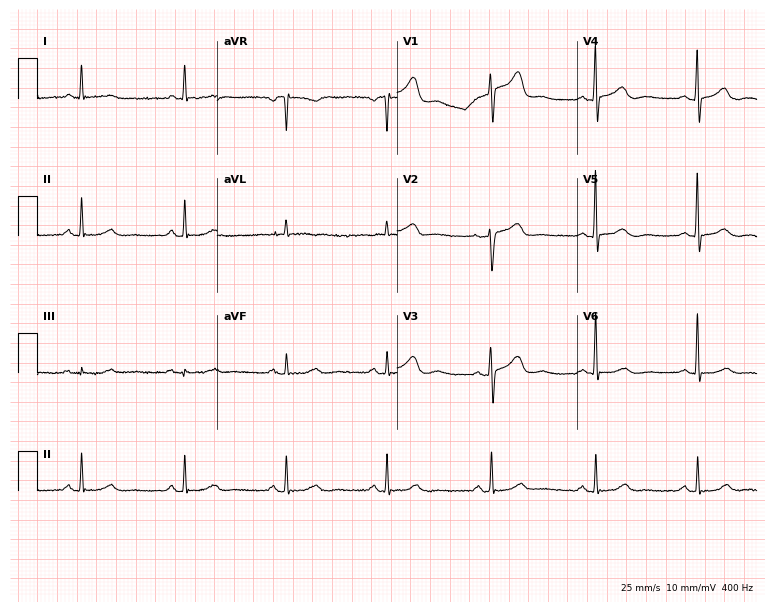
Electrocardiogram (7.3-second recording at 400 Hz), a 62-year-old female. Of the six screened findings (first-degree AV block, right bundle branch block (RBBB), left bundle branch block (LBBB), sinus bradycardia, atrial fibrillation (AF), sinus tachycardia), none is recorded. Other findings, if any, are not listed.